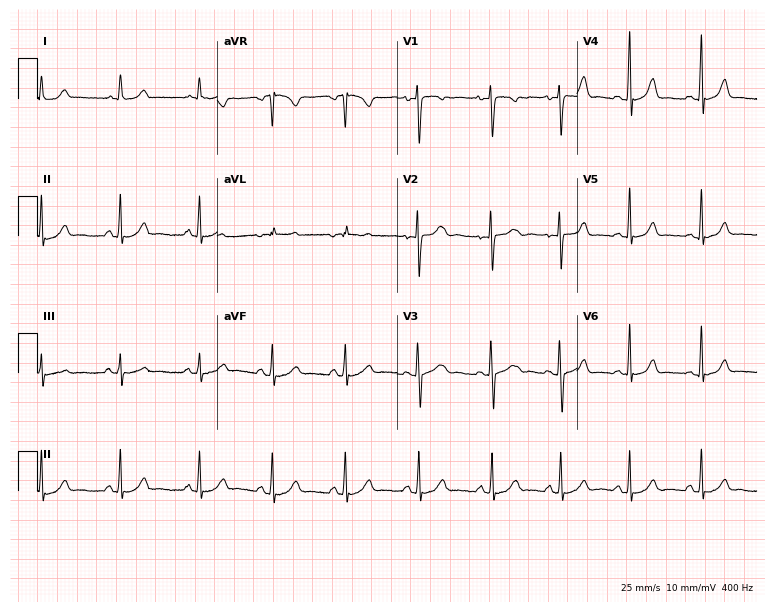
ECG (7.3-second recording at 400 Hz) — a female patient, 17 years old. Labelled as a normal ECG.